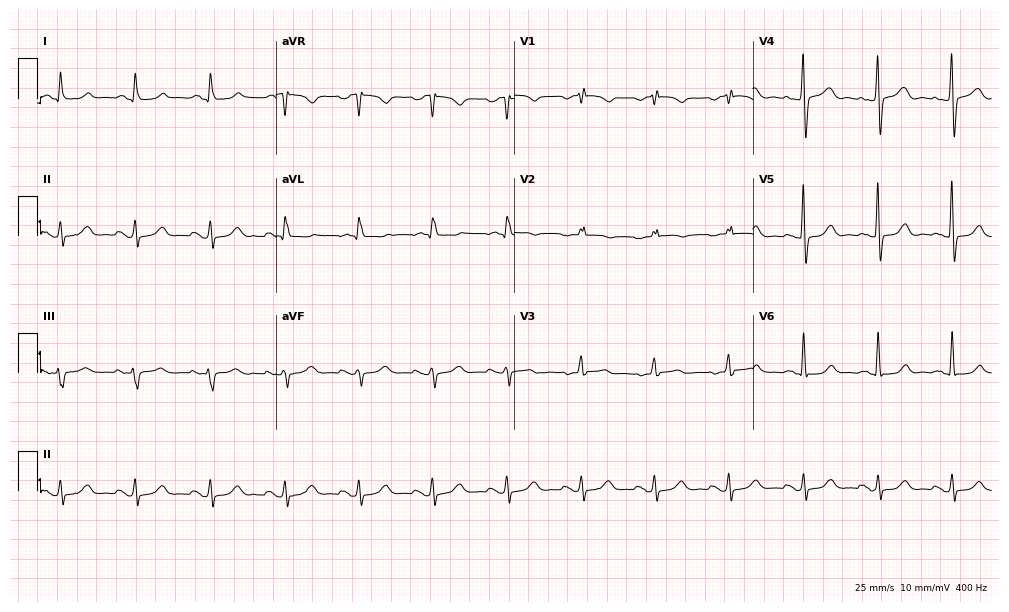
Standard 12-lead ECG recorded from a female, 76 years old (9.7-second recording at 400 Hz). None of these six findings is recorded: first-degree AV block, right bundle branch block (RBBB), left bundle branch block (LBBB), sinus bradycardia, atrial fibrillation (AF), sinus tachycardia. Other findings, if any, are not listed.